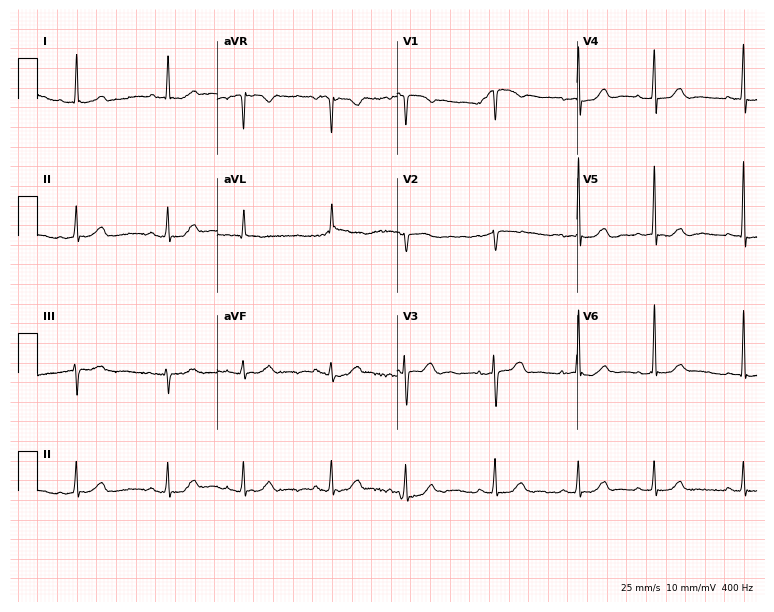
Resting 12-lead electrocardiogram. Patient: a female, 73 years old. Read as a normal ECG.